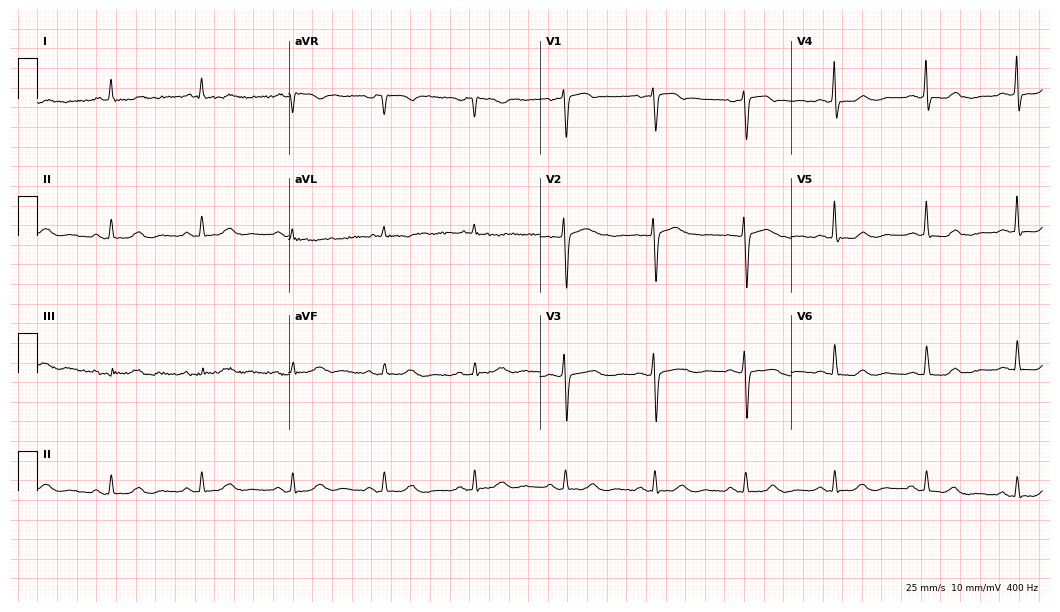
12-lead ECG from a 71-year-old female. Labelled as a normal ECG.